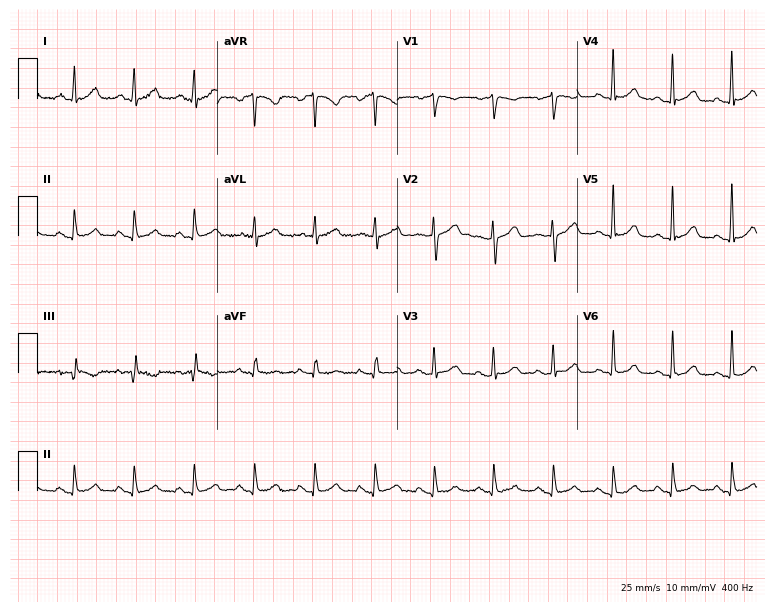
12-lead ECG from a 54-year-old female. Screened for six findings — first-degree AV block, right bundle branch block (RBBB), left bundle branch block (LBBB), sinus bradycardia, atrial fibrillation (AF), sinus tachycardia — none is recorded.